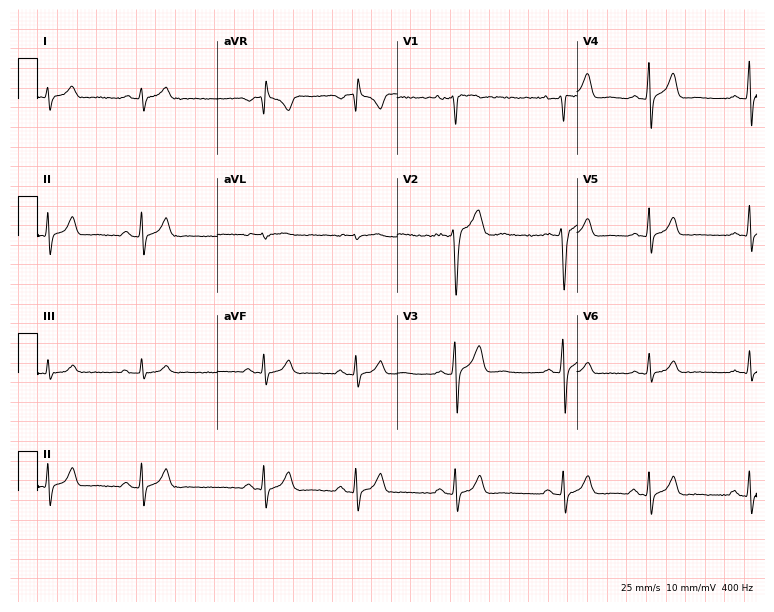
Electrocardiogram, a man, 19 years old. Of the six screened findings (first-degree AV block, right bundle branch block (RBBB), left bundle branch block (LBBB), sinus bradycardia, atrial fibrillation (AF), sinus tachycardia), none is recorded. Only these six findings were labelled.